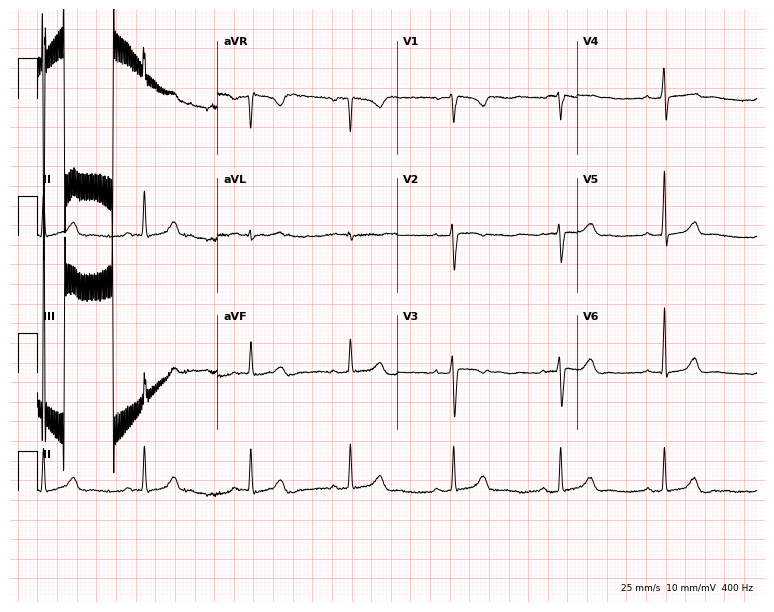
12-lead ECG from a female patient, 41 years old (7.3-second recording at 400 Hz). No first-degree AV block, right bundle branch block (RBBB), left bundle branch block (LBBB), sinus bradycardia, atrial fibrillation (AF) or sinus tachycardia recorded for this tracing.